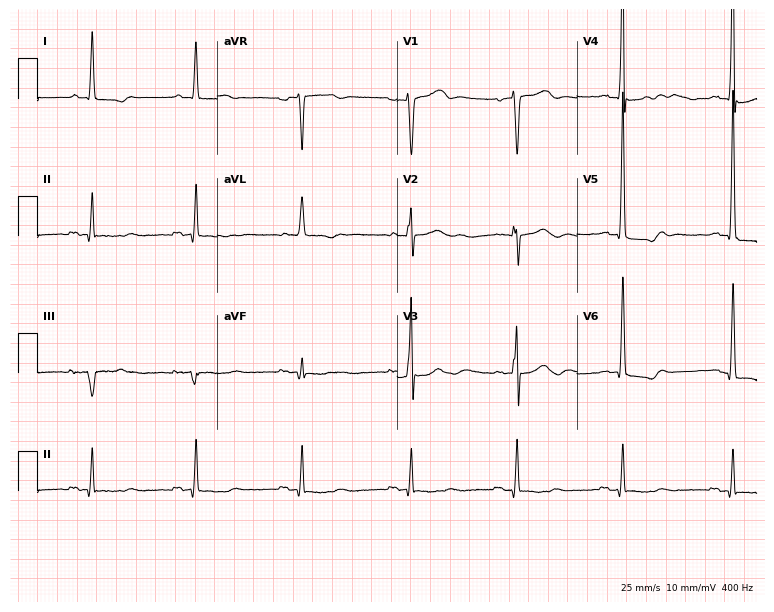
Resting 12-lead electrocardiogram (7.3-second recording at 400 Hz). Patient: a 71-year-old male. None of these six findings is recorded: first-degree AV block, right bundle branch block, left bundle branch block, sinus bradycardia, atrial fibrillation, sinus tachycardia. Other findings, if any, are not listed.